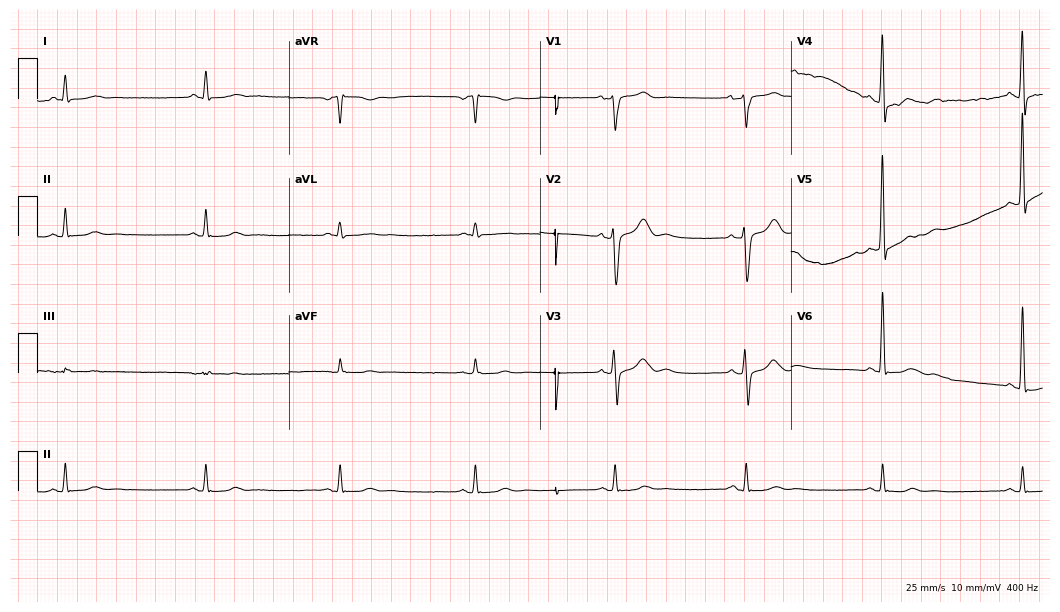
Electrocardiogram, a 69-year-old woman. Interpretation includes sinus bradycardia (a sinus rate of 50 beats per minute or less).